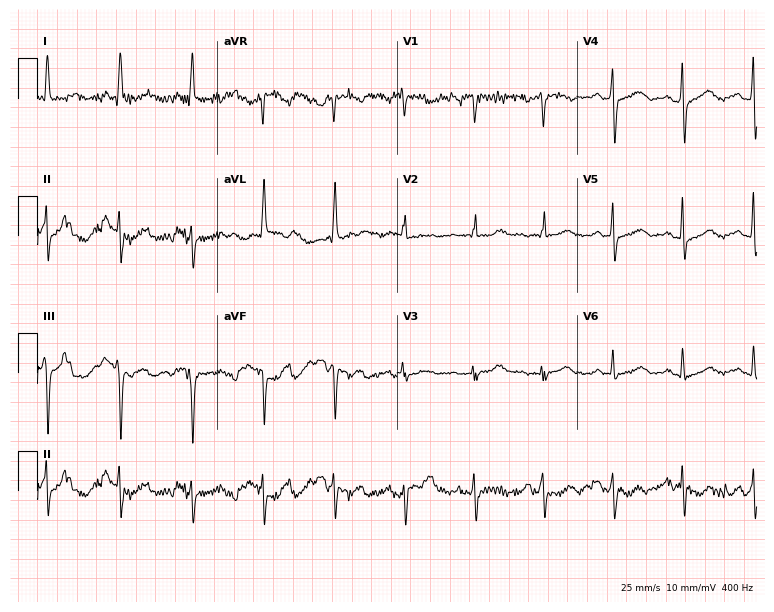
12-lead ECG from a woman, 66 years old (7.3-second recording at 400 Hz). No first-degree AV block, right bundle branch block, left bundle branch block, sinus bradycardia, atrial fibrillation or sinus tachycardia recorded for this tracing. Only these six findings were labelled.